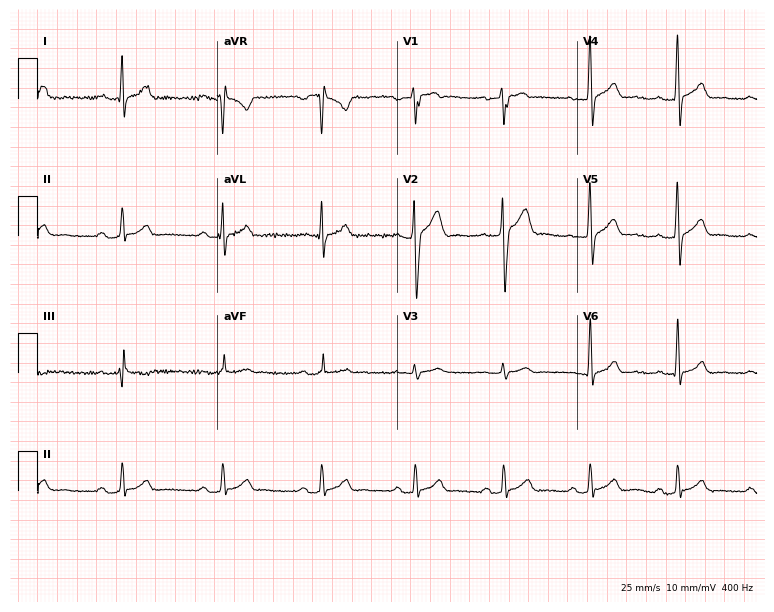
12-lead ECG from a man, 23 years old. Screened for six findings — first-degree AV block, right bundle branch block (RBBB), left bundle branch block (LBBB), sinus bradycardia, atrial fibrillation (AF), sinus tachycardia — none is recorded. Other findings, if any, are not listed.